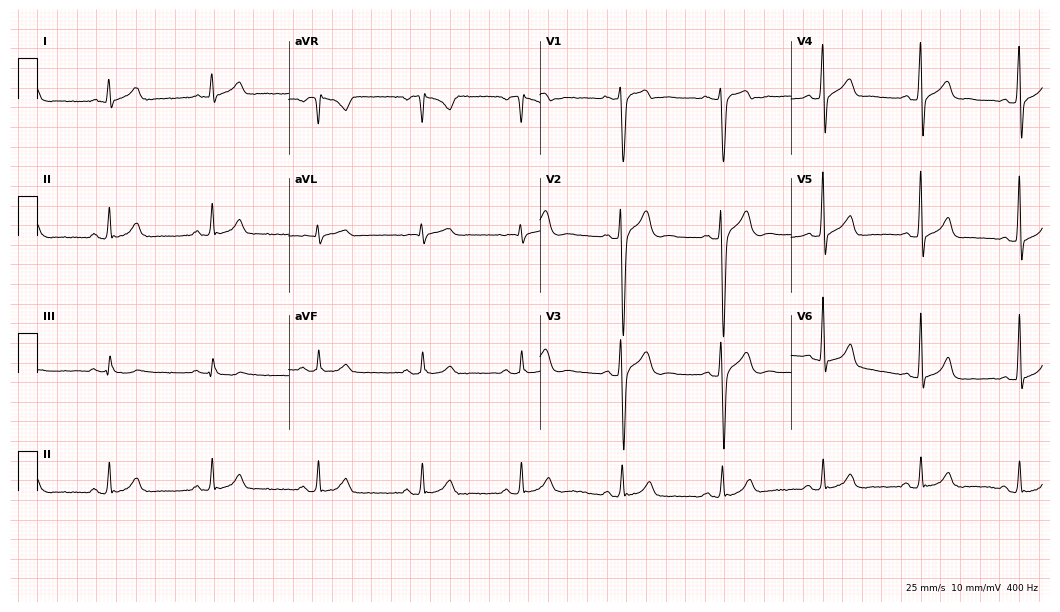
ECG (10.2-second recording at 400 Hz) — a male patient, 30 years old. Labelled as a normal ECG.